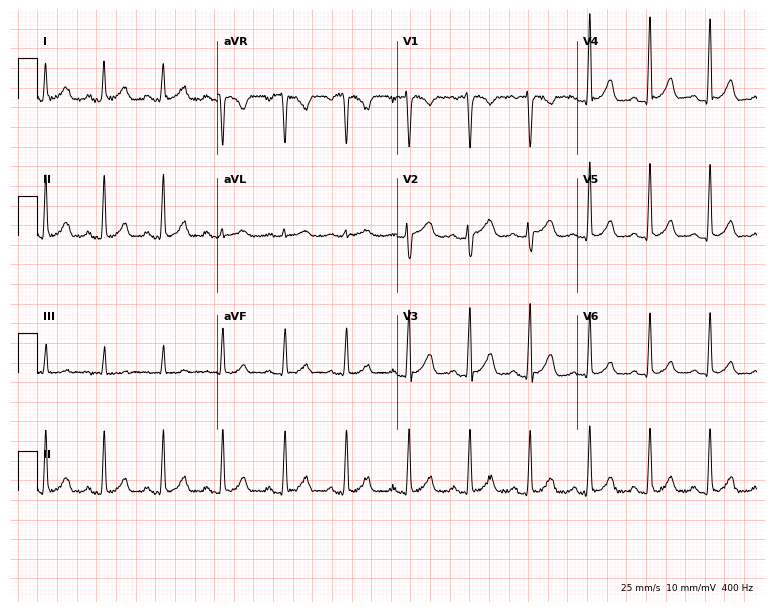
ECG — a 29-year-old female patient. Screened for six findings — first-degree AV block, right bundle branch block, left bundle branch block, sinus bradycardia, atrial fibrillation, sinus tachycardia — none is recorded.